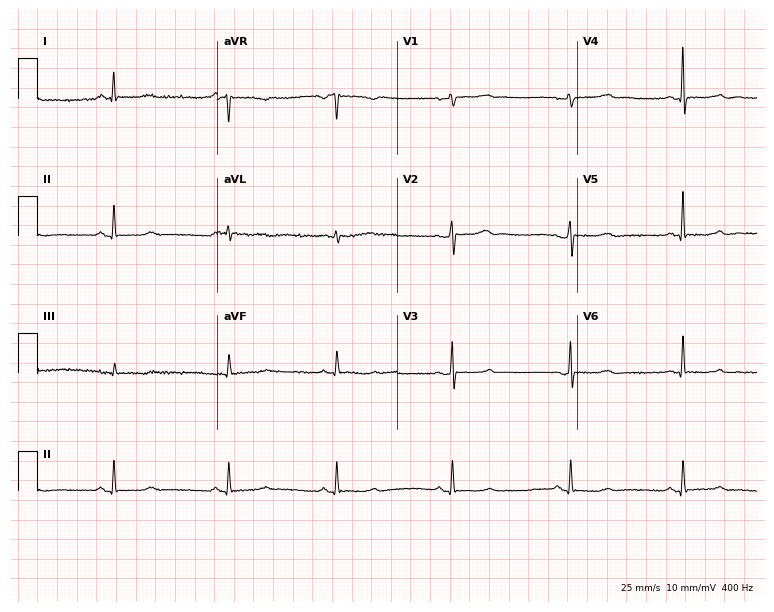
Standard 12-lead ECG recorded from a 53-year-old female. None of these six findings is recorded: first-degree AV block, right bundle branch block (RBBB), left bundle branch block (LBBB), sinus bradycardia, atrial fibrillation (AF), sinus tachycardia.